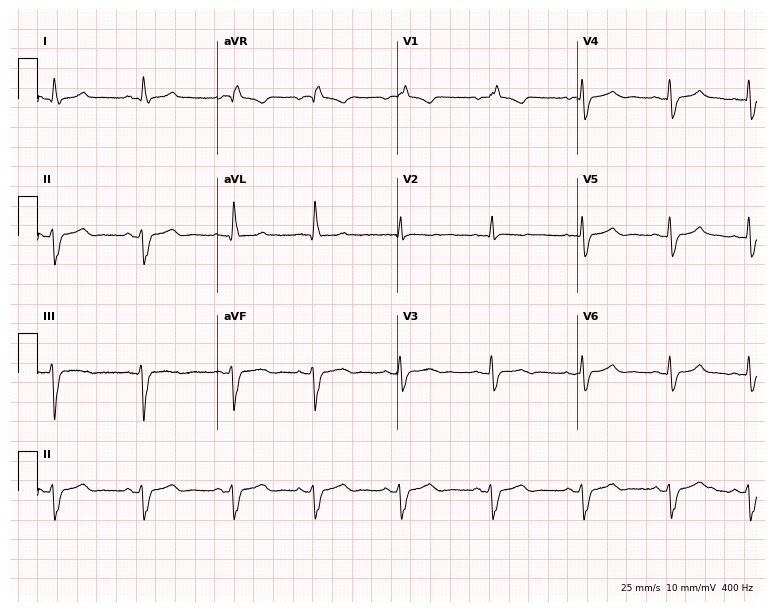
12-lead ECG from a female patient, 46 years old. Findings include right bundle branch block.